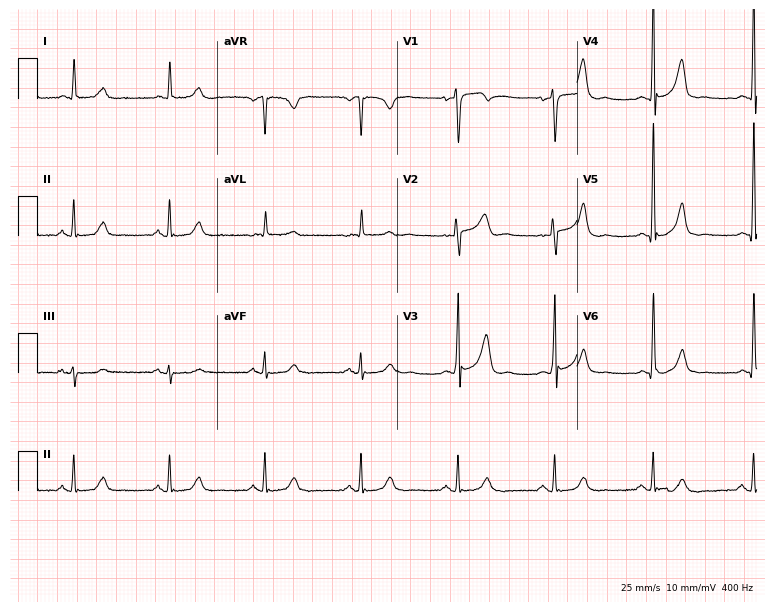
Resting 12-lead electrocardiogram (7.3-second recording at 400 Hz). Patient: a 60-year-old man. None of these six findings is recorded: first-degree AV block, right bundle branch block, left bundle branch block, sinus bradycardia, atrial fibrillation, sinus tachycardia. Only these six findings were labelled.